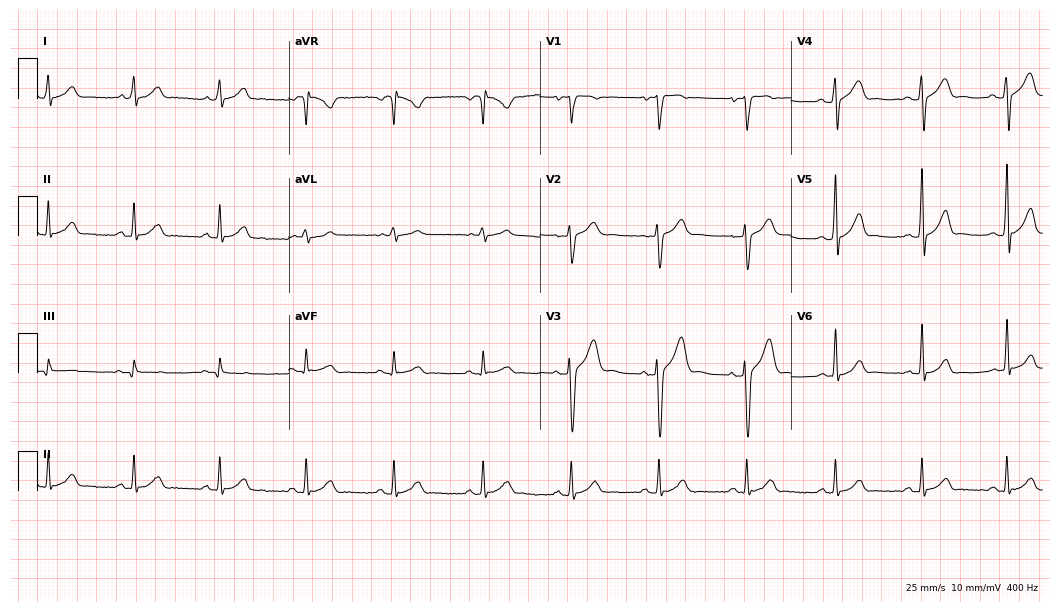
12-lead ECG (10.2-second recording at 400 Hz) from a 42-year-old male patient. Labelled as a normal ECG.